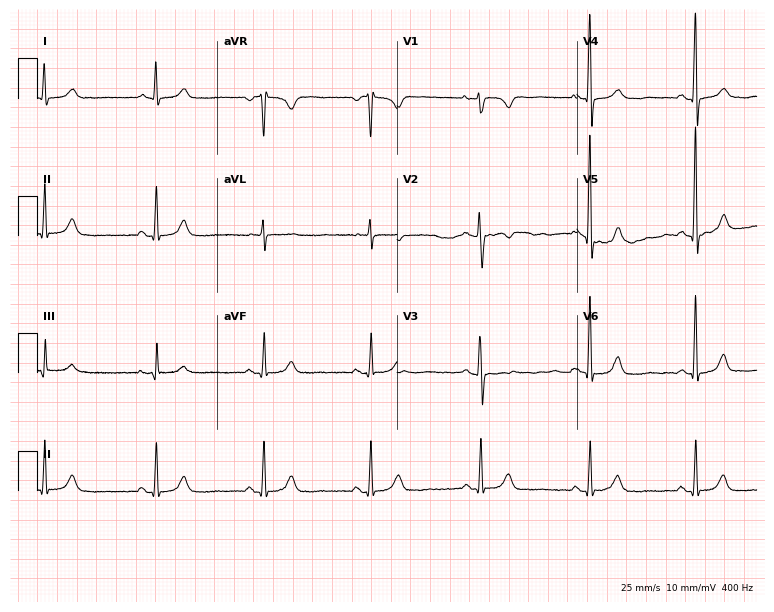
Electrocardiogram (7.3-second recording at 400 Hz), a 65-year-old female patient. Of the six screened findings (first-degree AV block, right bundle branch block, left bundle branch block, sinus bradycardia, atrial fibrillation, sinus tachycardia), none is recorded.